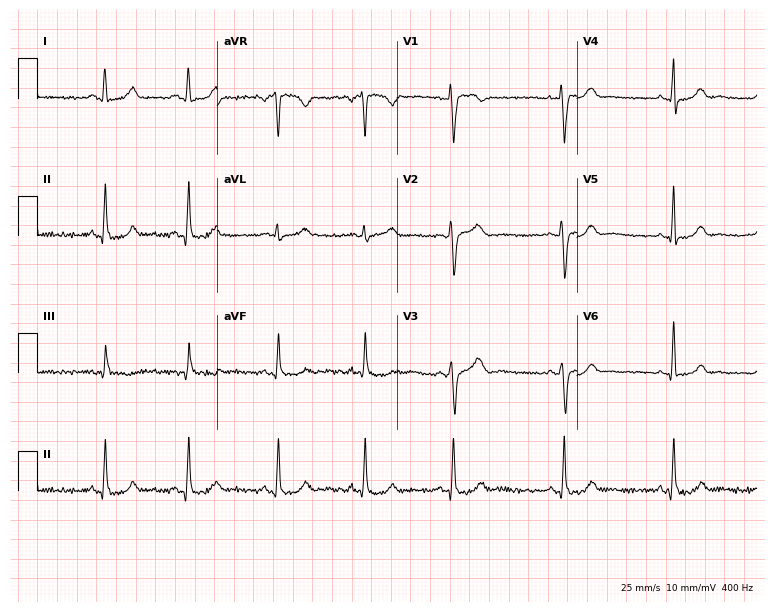
Resting 12-lead electrocardiogram. Patient: a 33-year-old woman. Read as a normal ECG.